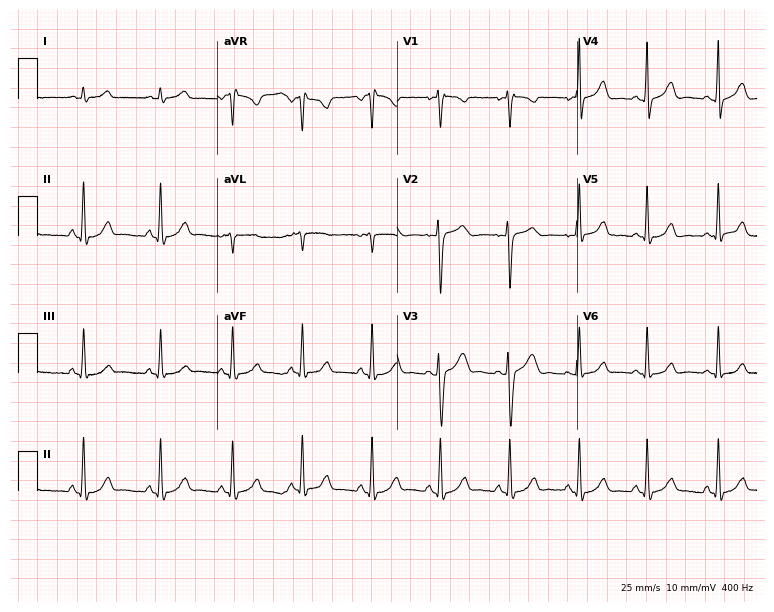
Resting 12-lead electrocardiogram. Patient: a female, 24 years old. Read as a normal ECG.